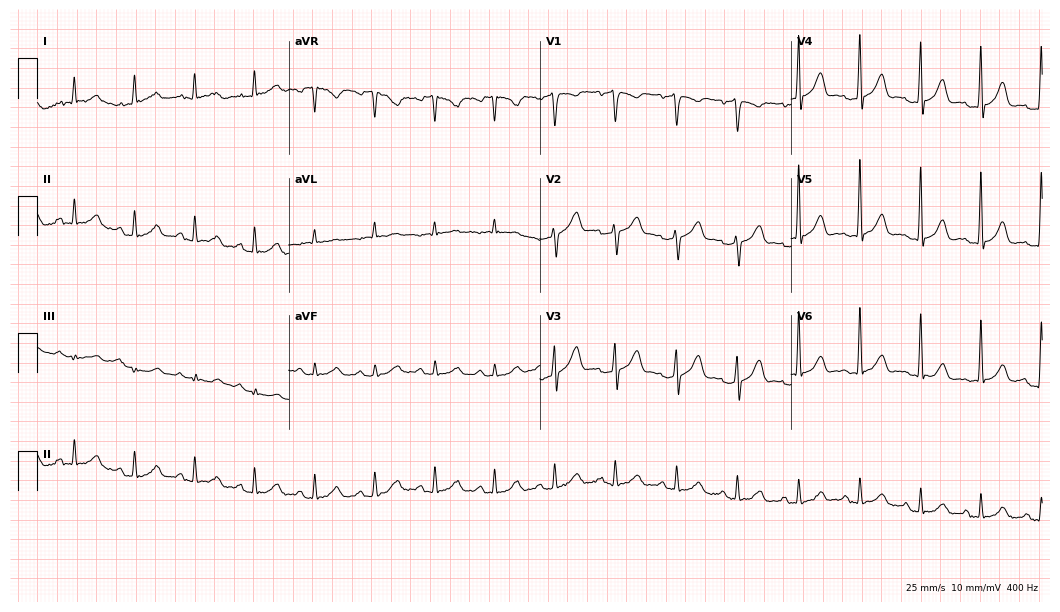
Electrocardiogram (10.2-second recording at 400 Hz), a man, 55 years old. Overall reading on record: normal ECG.